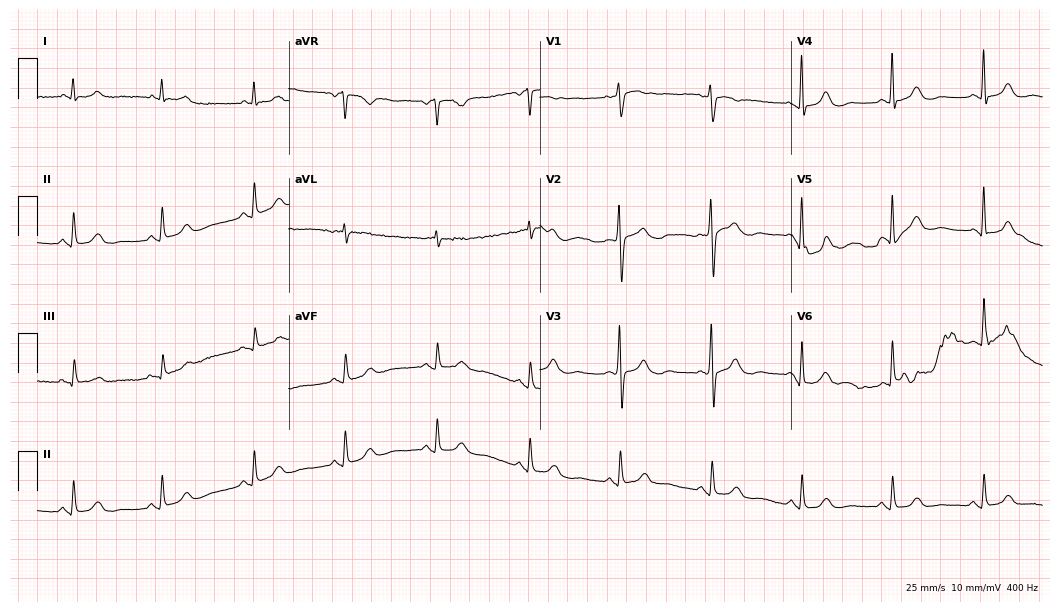
12-lead ECG (10.2-second recording at 400 Hz) from a 78-year-old female patient. Labelled as a normal ECG.